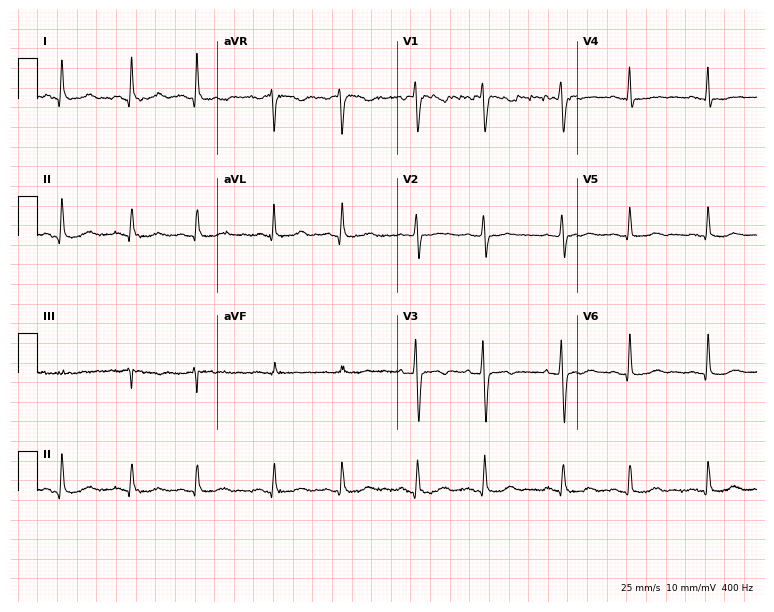
Resting 12-lead electrocardiogram (7.3-second recording at 400 Hz). Patient: a female, 51 years old. None of these six findings is recorded: first-degree AV block, right bundle branch block, left bundle branch block, sinus bradycardia, atrial fibrillation, sinus tachycardia.